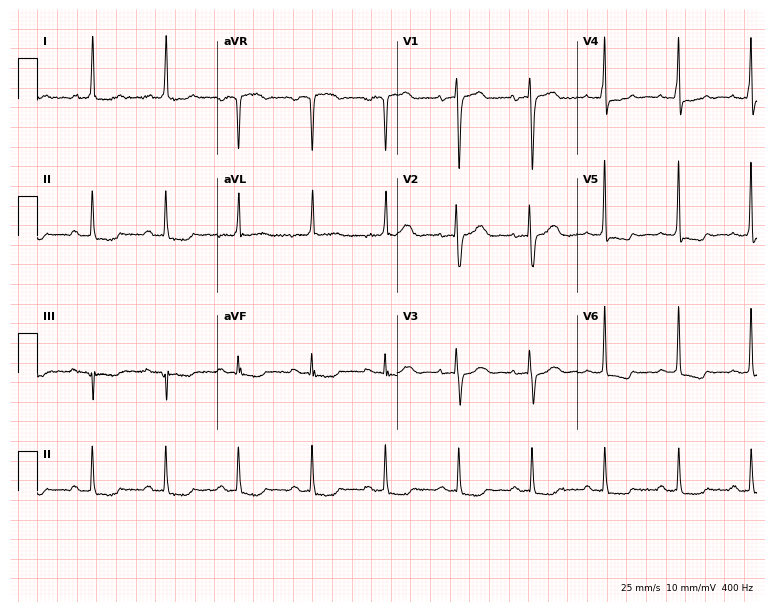
Electrocardiogram (7.3-second recording at 400 Hz), a female, 81 years old. Of the six screened findings (first-degree AV block, right bundle branch block, left bundle branch block, sinus bradycardia, atrial fibrillation, sinus tachycardia), none is recorded. Only these six findings were labelled.